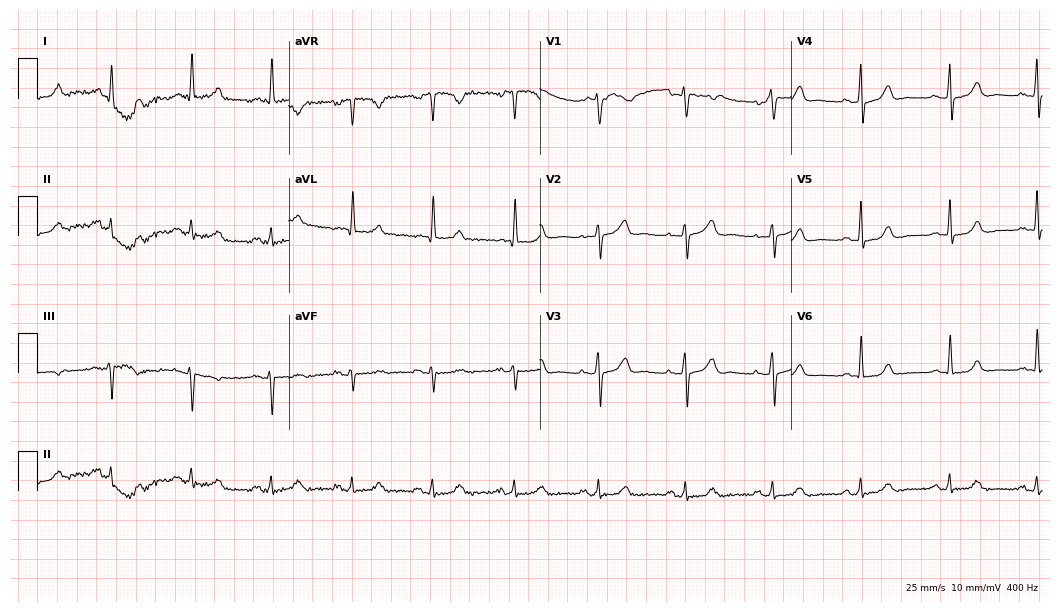
12-lead ECG from a female, 70 years old (10.2-second recording at 400 Hz). Recorded interpretation: within normal limits.